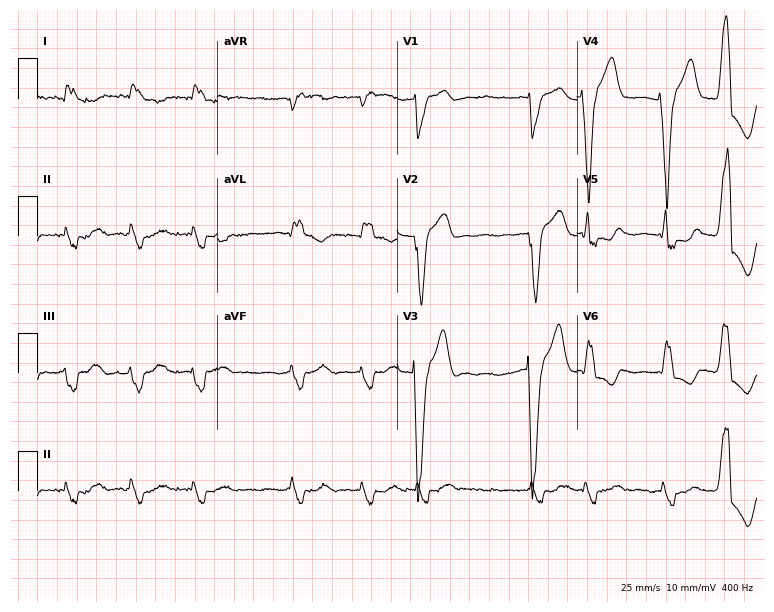
Electrocardiogram, a woman, 80 years old. Interpretation includes left bundle branch block, atrial fibrillation.